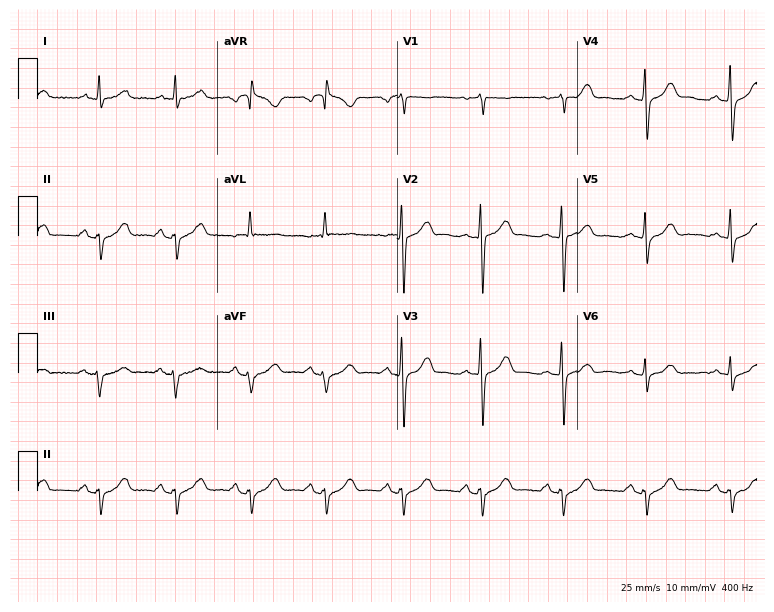
Resting 12-lead electrocardiogram. Patient: a male, 59 years old. None of these six findings is recorded: first-degree AV block, right bundle branch block, left bundle branch block, sinus bradycardia, atrial fibrillation, sinus tachycardia. Findings outside these six are not listed.